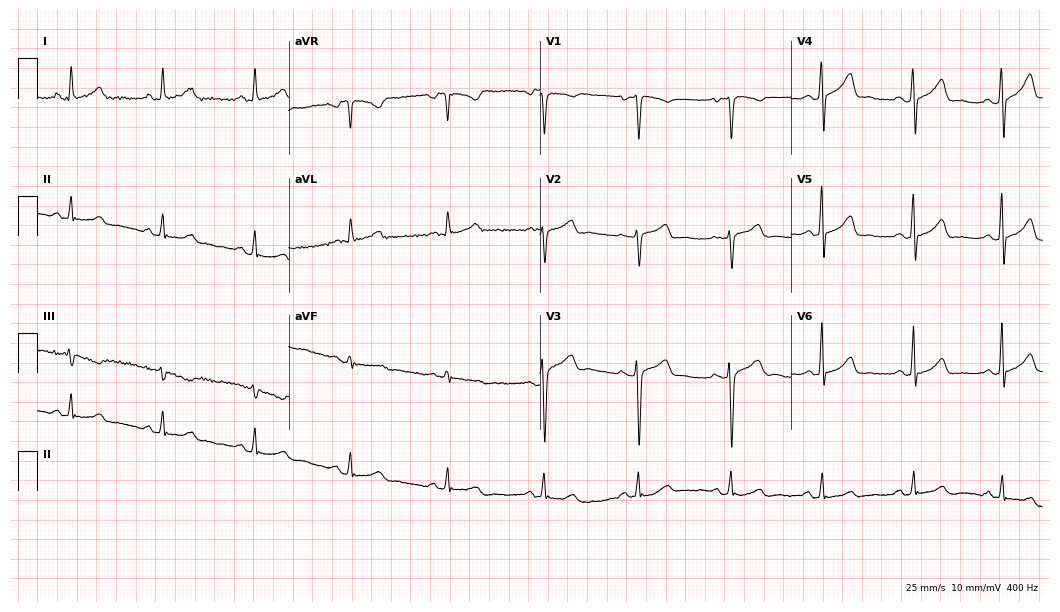
12-lead ECG from a 42-year-old female. Screened for six findings — first-degree AV block, right bundle branch block, left bundle branch block, sinus bradycardia, atrial fibrillation, sinus tachycardia — none is recorded. Other findings, if any, are not listed.